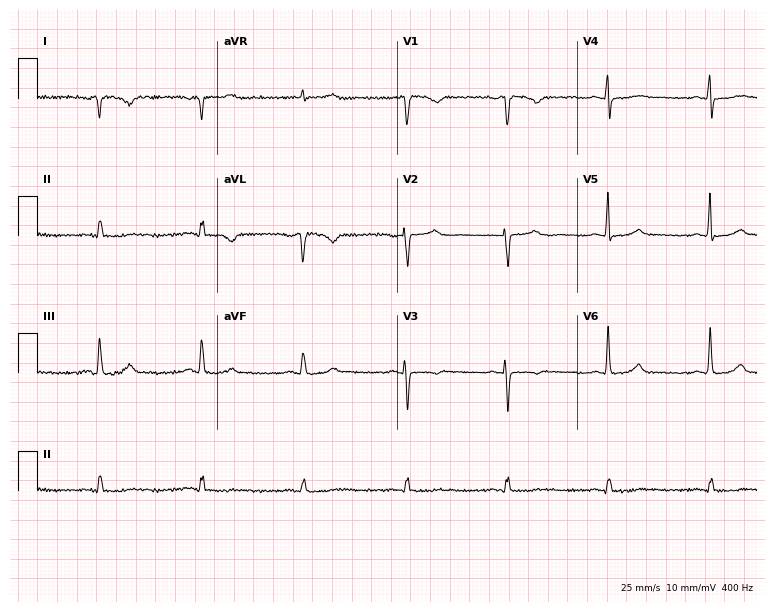
Electrocardiogram (7.3-second recording at 400 Hz), a 76-year-old female patient. Of the six screened findings (first-degree AV block, right bundle branch block, left bundle branch block, sinus bradycardia, atrial fibrillation, sinus tachycardia), none is recorded. Only these six findings were labelled.